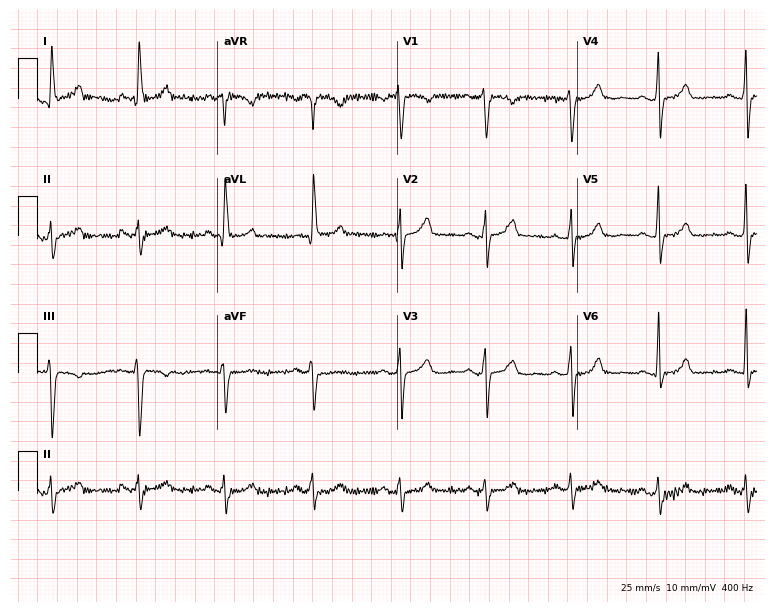
12-lead ECG from a 54-year-old female (7.3-second recording at 400 Hz). No first-degree AV block, right bundle branch block (RBBB), left bundle branch block (LBBB), sinus bradycardia, atrial fibrillation (AF) or sinus tachycardia recorded for this tracing. Only these six findings were labelled.